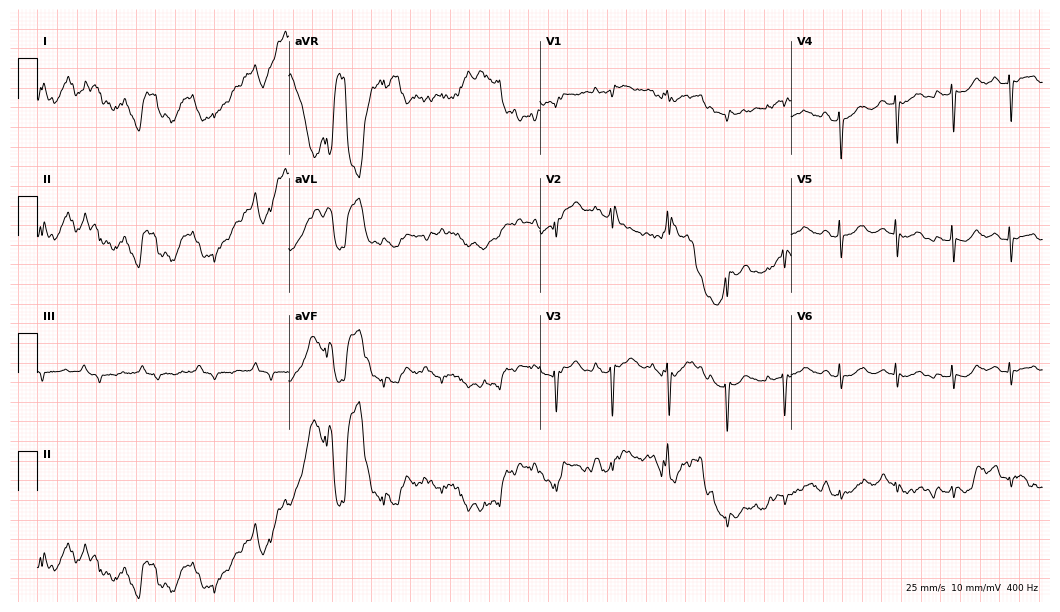
12-lead ECG from an 82-year-old female. Screened for six findings — first-degree AV block, right bundle branch block, left bundle branch block, sinus bradycardia, atrial fibrillation, sinus tachycardia — none is recorded. Other findings, if any, are not listed.